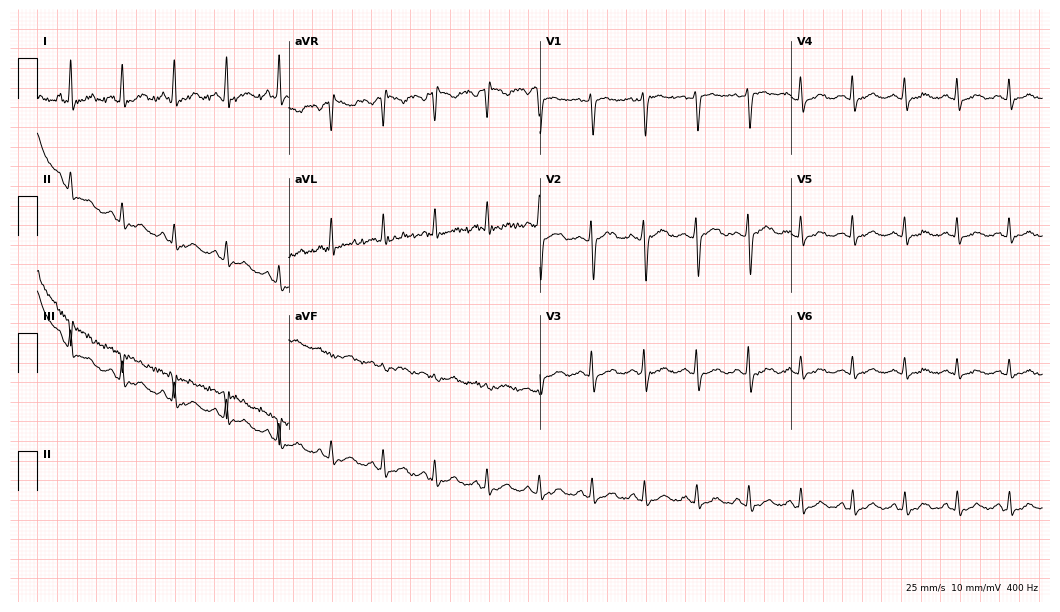
Standard 12-lead ECG recorded from a 32-year-old female (10.2-second recording at 400 Hz). The tracing shows sinus tachycardia (a sinus rate of 100 beats per minute or more).